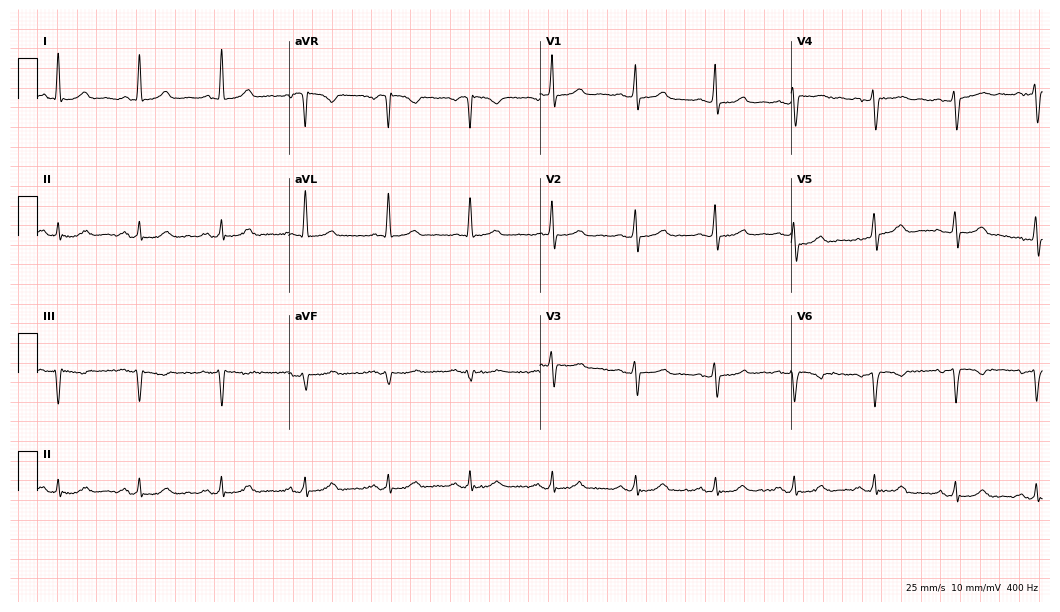
ECG (10.2-second recording at 400 Hz) — a 53-year-old female patient. Screened for six findings — first-degree AV block, right bundle branch block, left bundle branch block, sinus bradycardia, atrial fibrillation, sinus tachycardia — none is recorded.